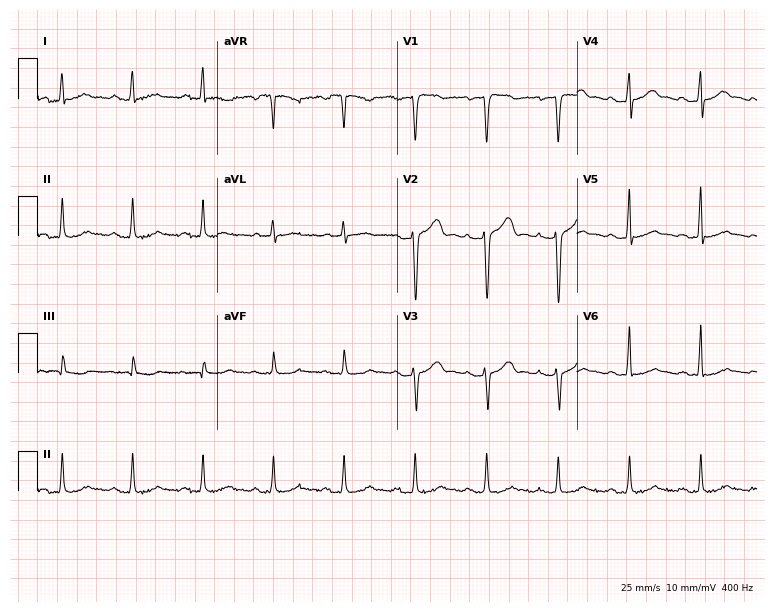
Resting 12-lead electrocardiogram (7.3-second recording at 400 Hz). Patient: a male, 63 years old. Read as a normal ECG.